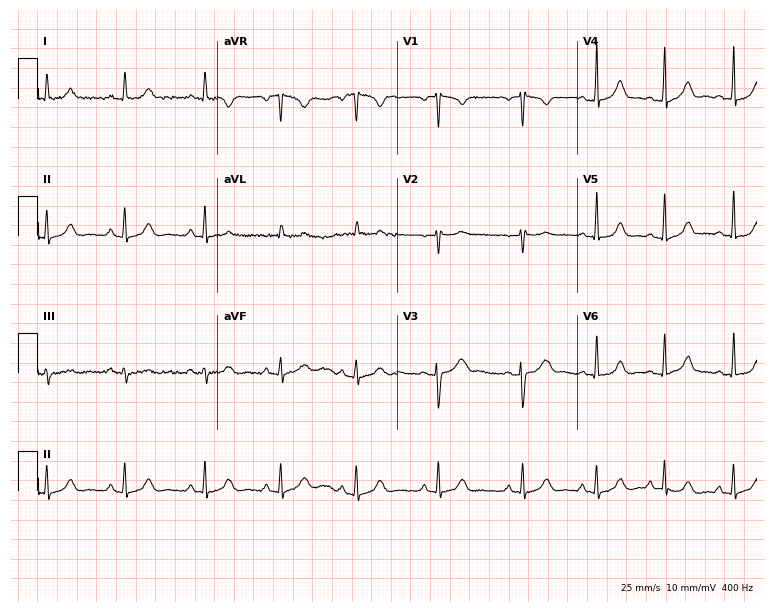
12-lead ECG from a woman, 22 years old. Recorded interpretation: within normal limits.